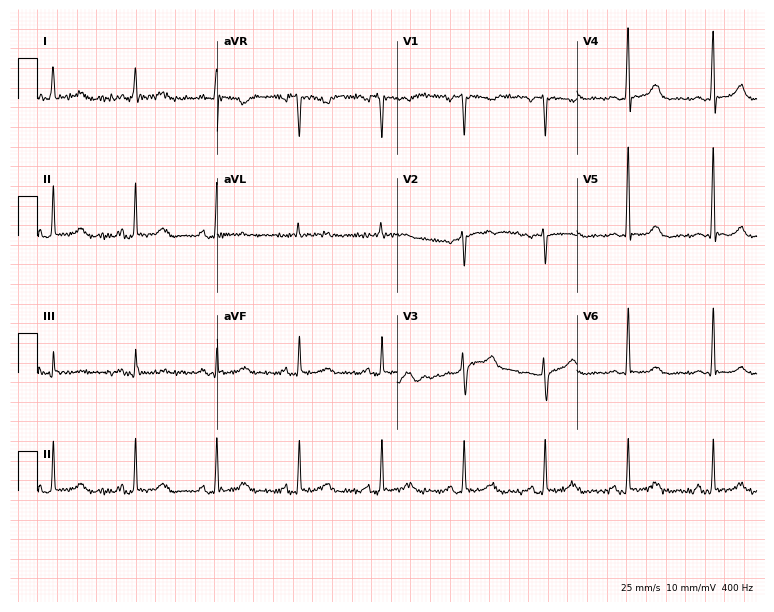
Standard 12-lead ECG recorded from a 41-year-old female. Read as a normal ECG.